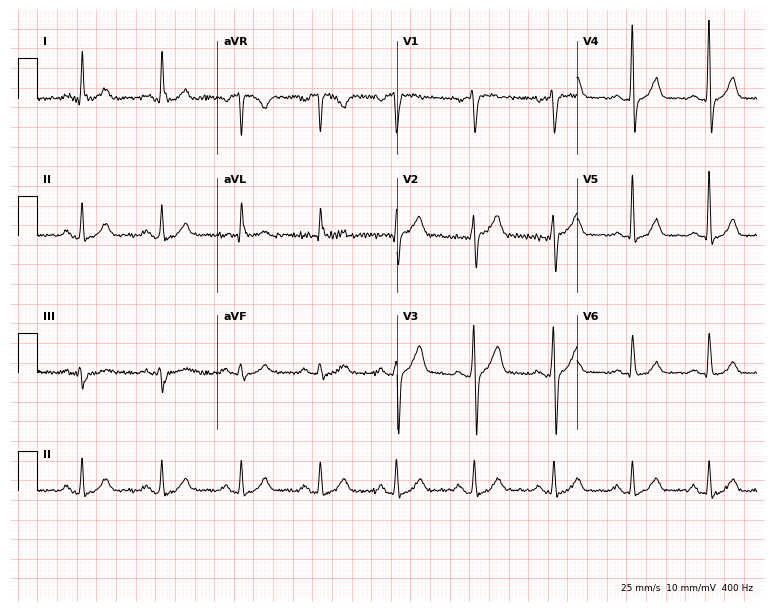
Resting 12-lead electrocardiogram (7.3-second recording at 400 Hz). Patient: a man, 52 years old. None of these six findings is recorded: first-degree AV block, right bundle branch block (RBBB), left bundle branch block (LBBB), sinus bradycardia, atrial fibrillation (AF), sinus tachycardia.